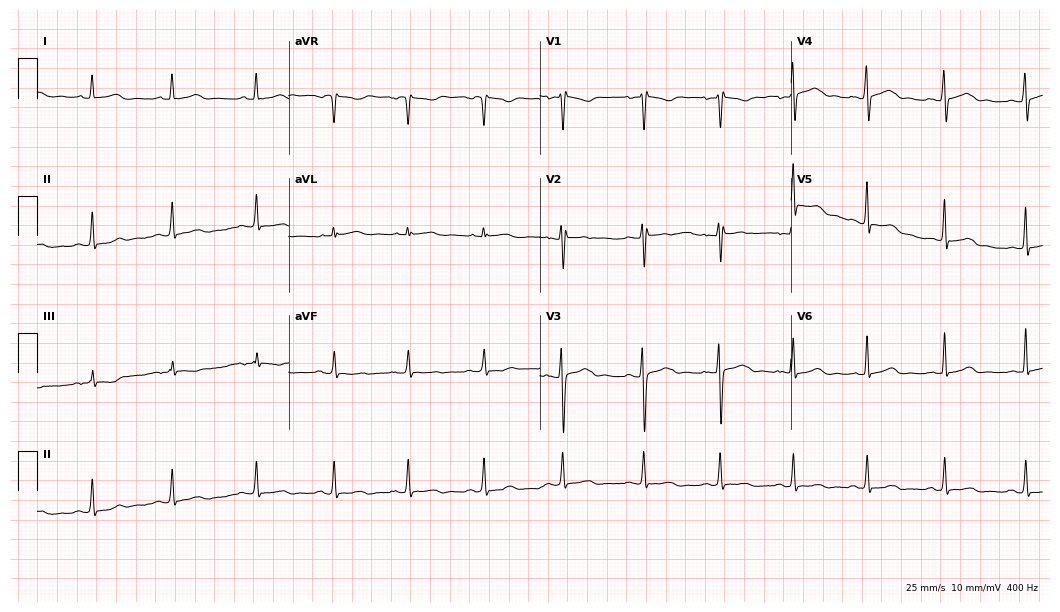
ECG — a female, 28 years old. Labelled as a normal ECG.